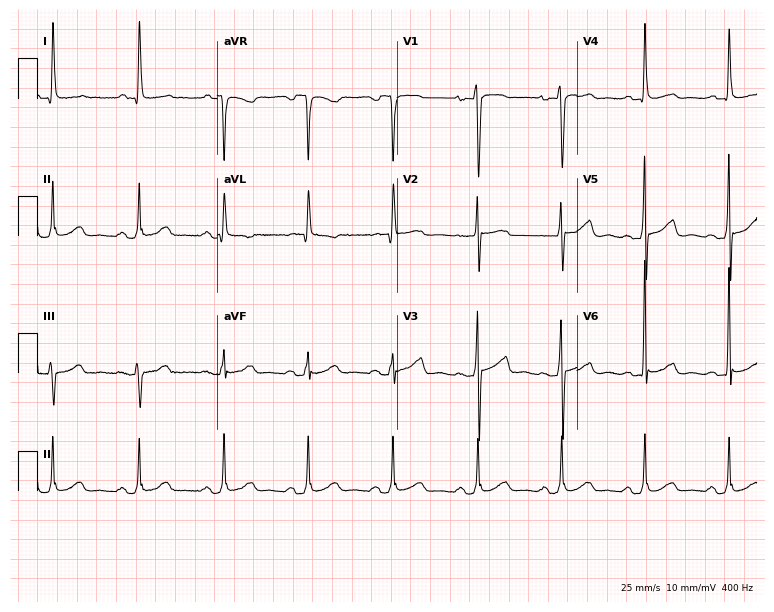
Resting 12-lead electrocardiogram (7.3-second recording at 400 Hz). Patient: a female, 83 years old. Read as a normal ECG.